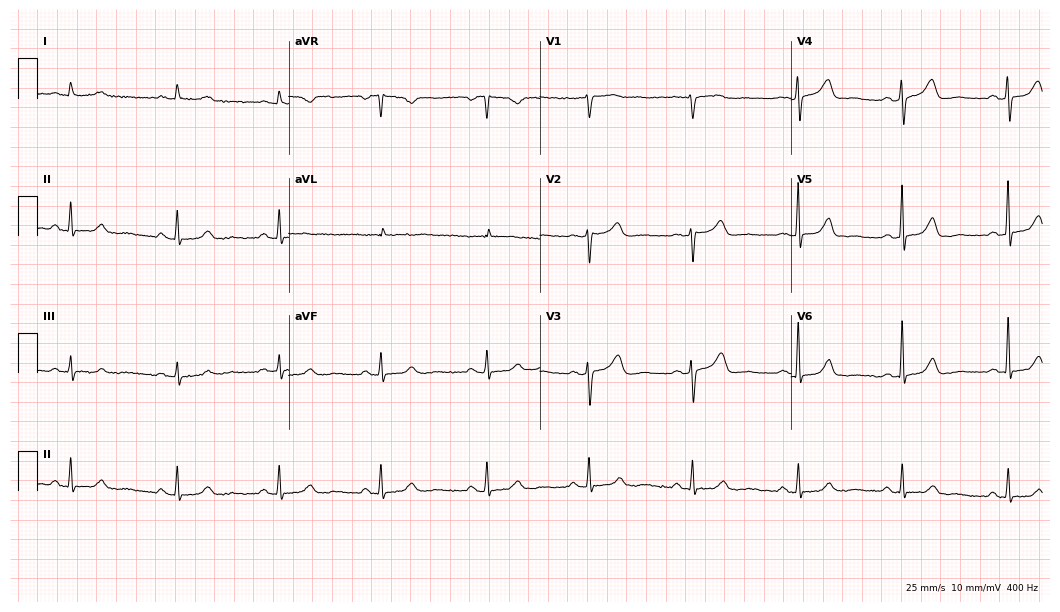
12-lead ECG from a 58-year-old woman. Recorded interpretation: within normal limits.